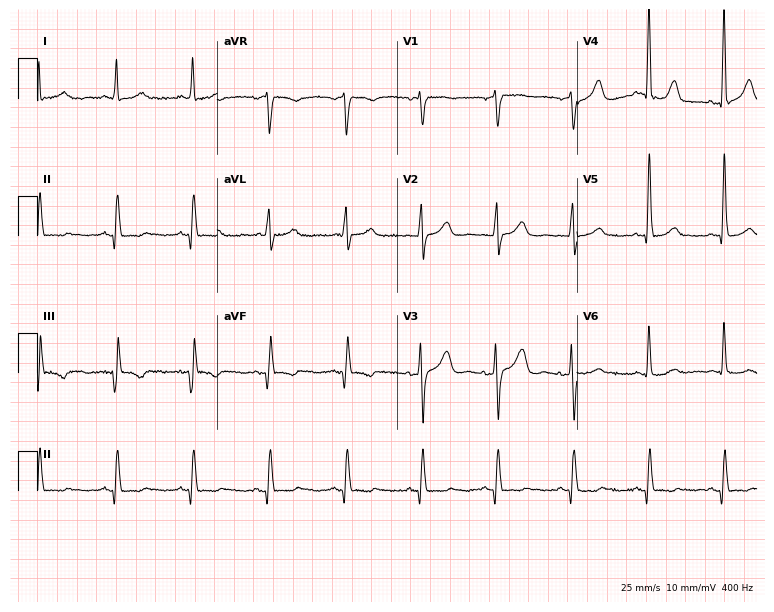
12-lead ECG (7.3-second recording at 400 Hz) from a female, 67 years old. Screened for six findings — first-degree AV block, right bundle branch block, left bundle branch block, sinus bradycardia, atrial fibrillation, sinus tachycardia — none is recorded.